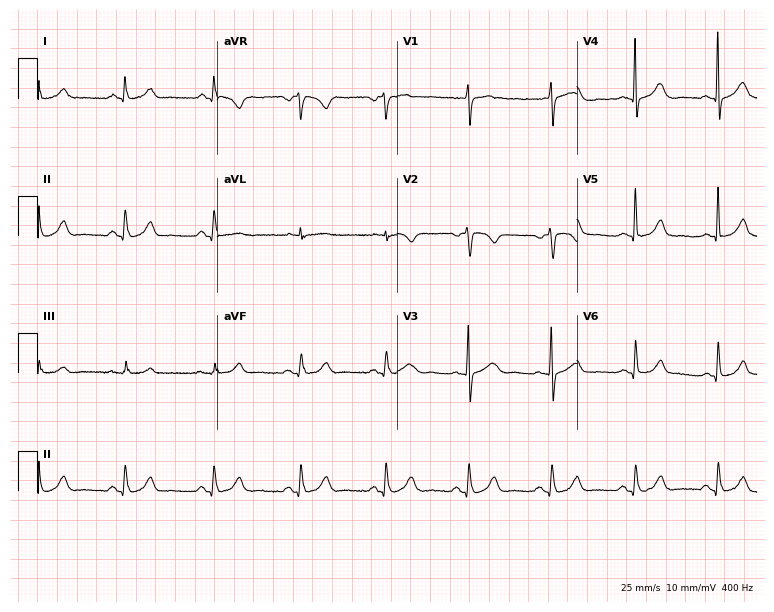
ECG — a woman, 46 years old. Labelled as a normal ECG.